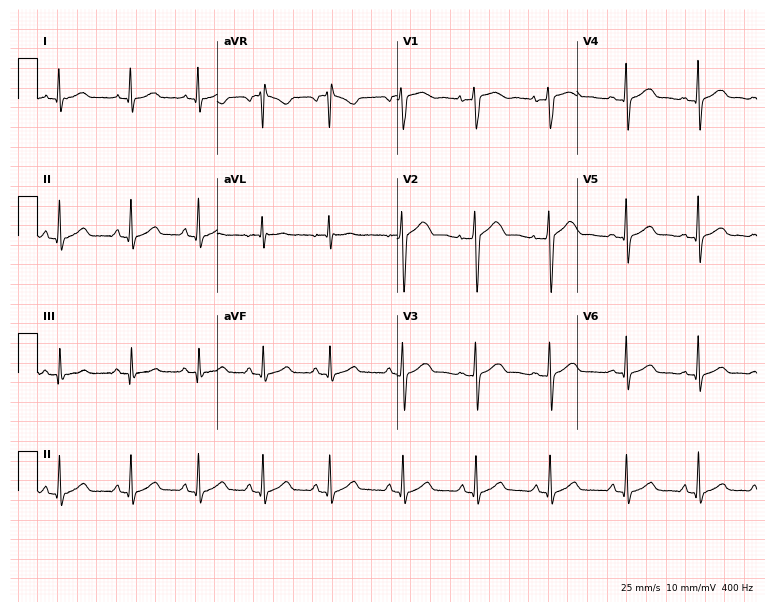
12-lead ECG (7.3-second recording at 400 Hz) from a 39-year-old female patient. Labelled as a normal ECG.